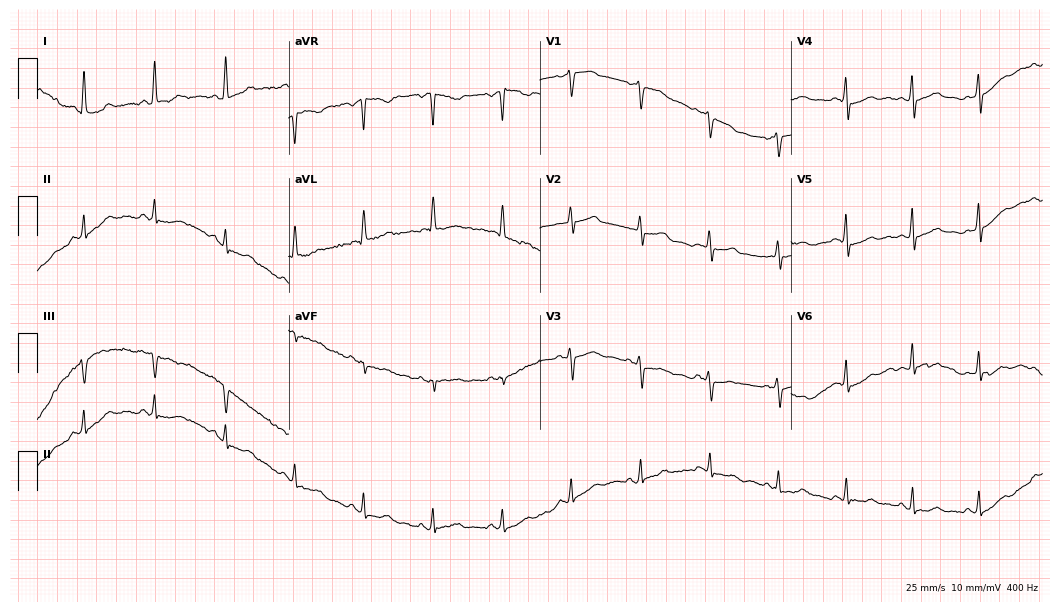
12-lead ECG from a 76-year-old female. Recorded interpretation: within normal limits.